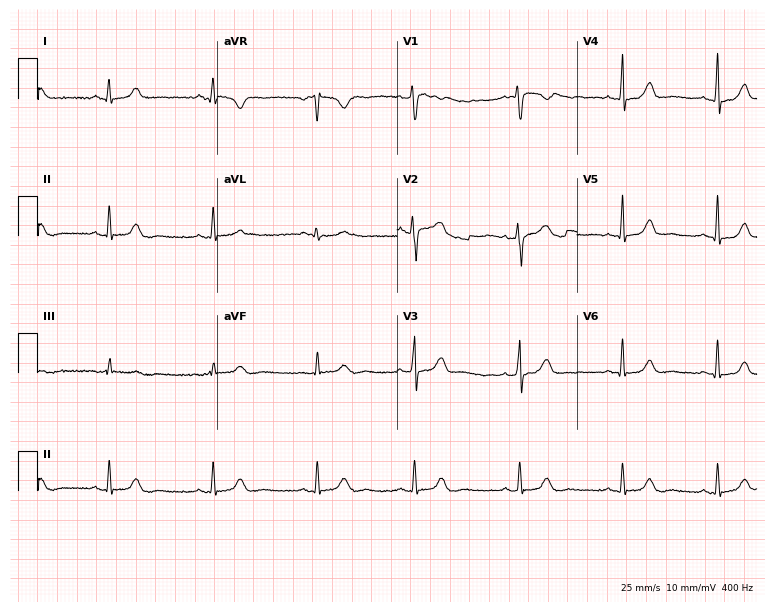
ECG — a 32-year-old female patient. Labelled as a normal ECG.